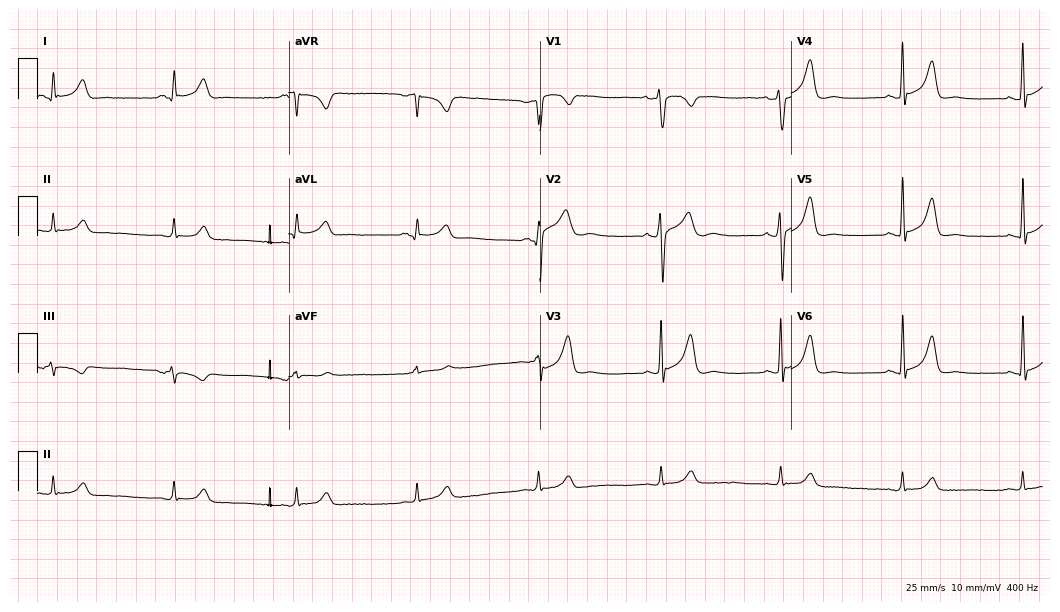
Standard 12-lead ECG recorded from a male, 33 years old (10.2-second recording at 400 Hz). None of these six findings is recorded: first-degree AV block, right bundle branch block, left bundle branch block, sinus bradycardia, atrial fibrillation, sinus tachycardia. Findings outside these six are not listed.